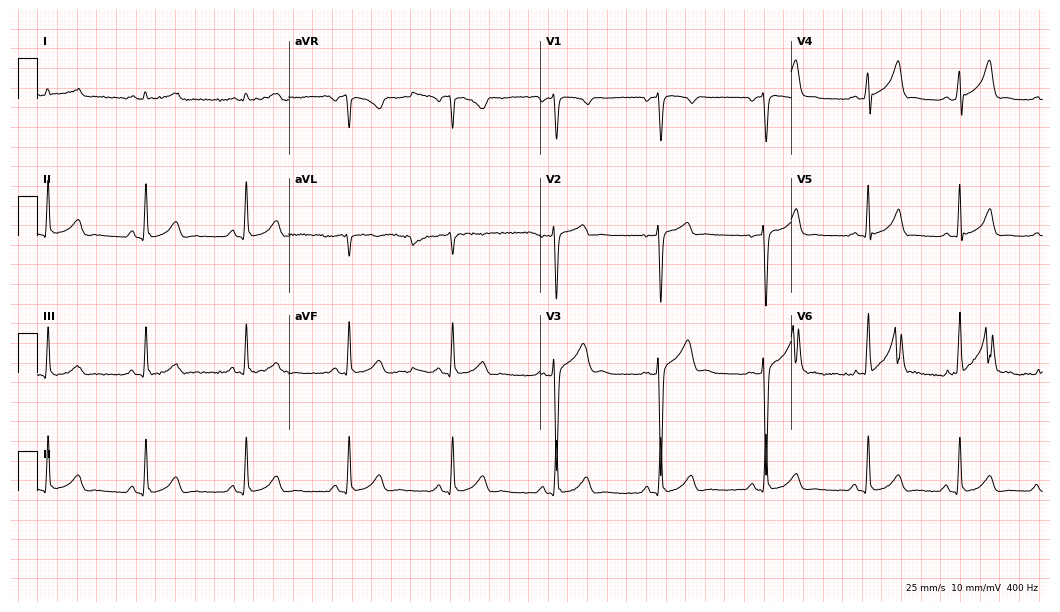
Resting 12-lead electrocardiogram (10.2-second recording at 400 Hz). Patient: a man, 31 years old. None of these six findings is recorded: first-degree AV block, right bundle branch block (RBBB), left bundle branch block (LBBB), sinus bradycardia, atrial fibrillation (AF), sinus tachycardia.